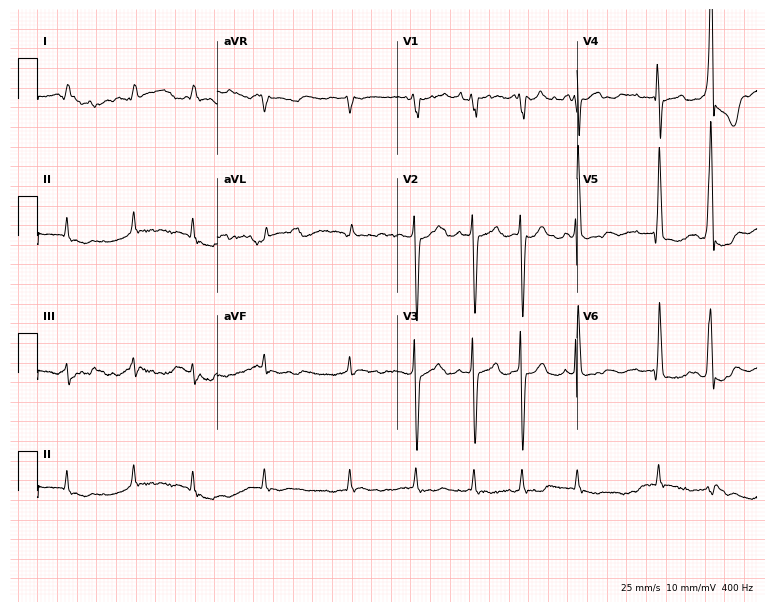
12-lead ECG from a man, 82 years old. Shows atrial fibrillation (AF).